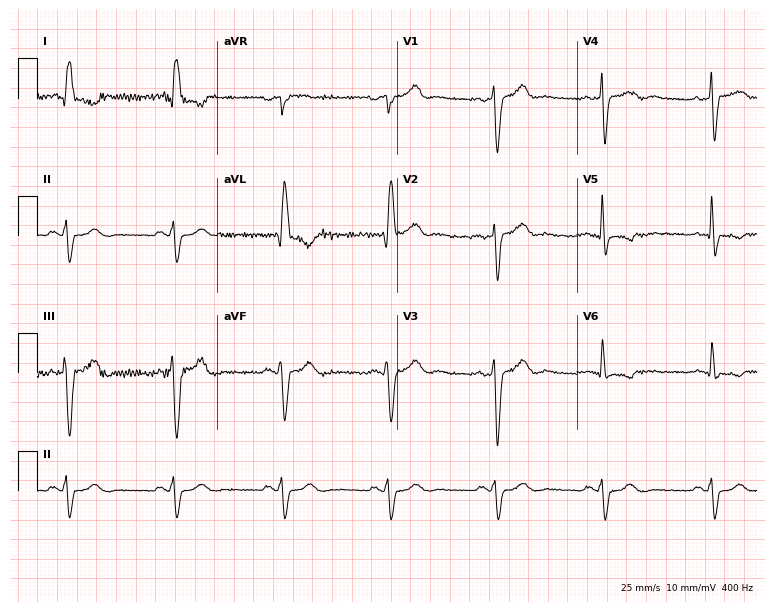
12-lead ECG from an 81-year-old woman. Findings include left bundle branch block.